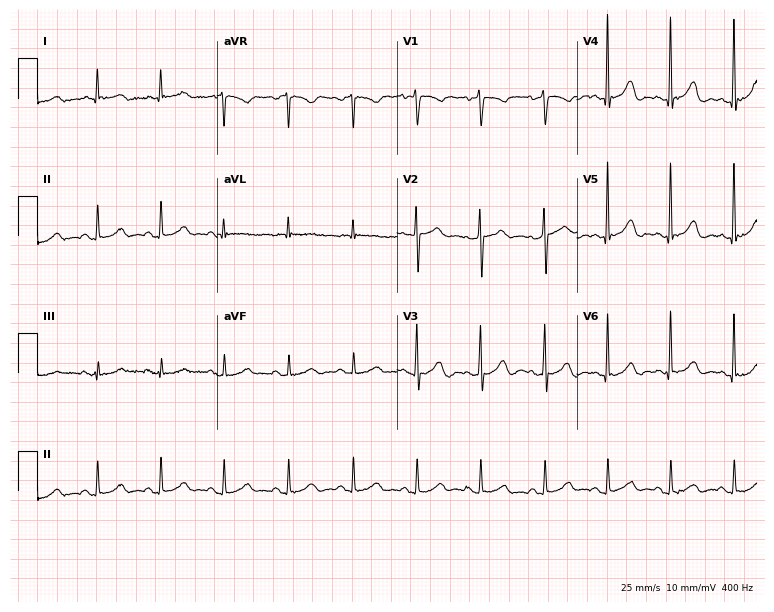
Electrocardiogram, a woman, 79 years old. Of the six screened findings (first-degree AV block, right bundle branch block (RBBB), left bundle branch block (LBBB), sinus bradycardia, atrial fibrillation (AF), sinus tachycardia), none is recorded.